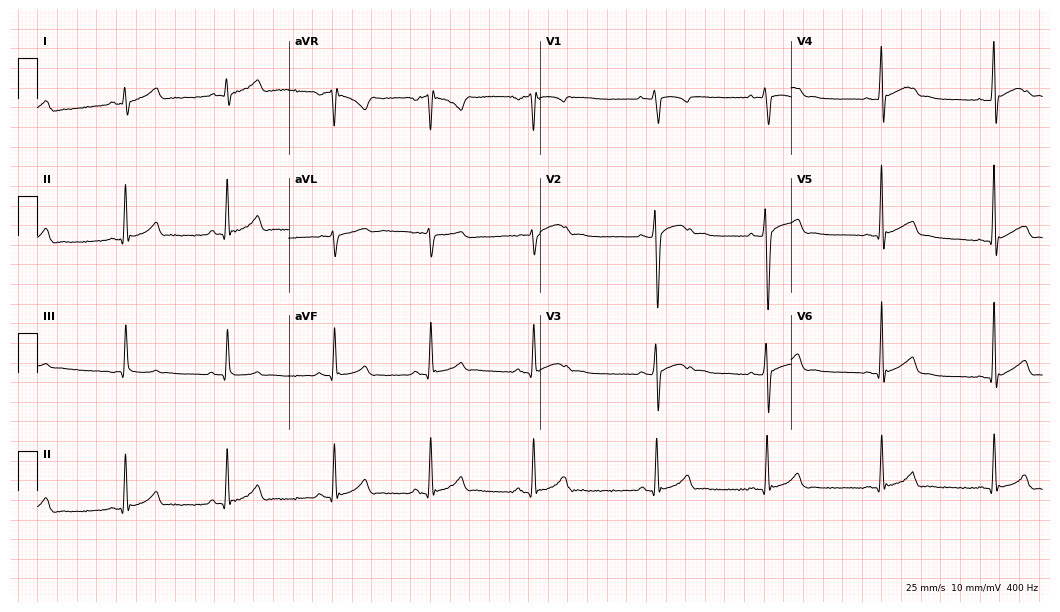
Resting 12-lead electrocardiogram. Patient: a 17-year-old male. Read as a normal ECG.